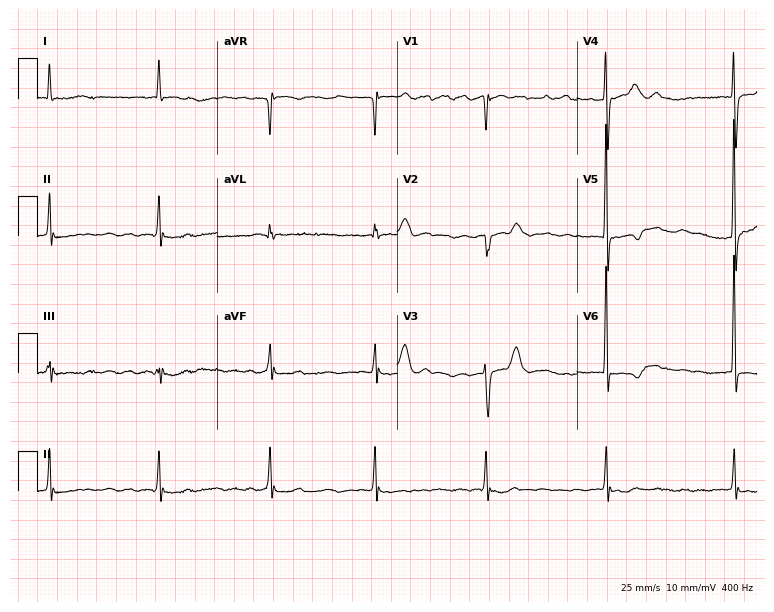
Standard 12-lead ECG recorded from a female, 76 years old. The tracing shows atrial fibrillation (AF).